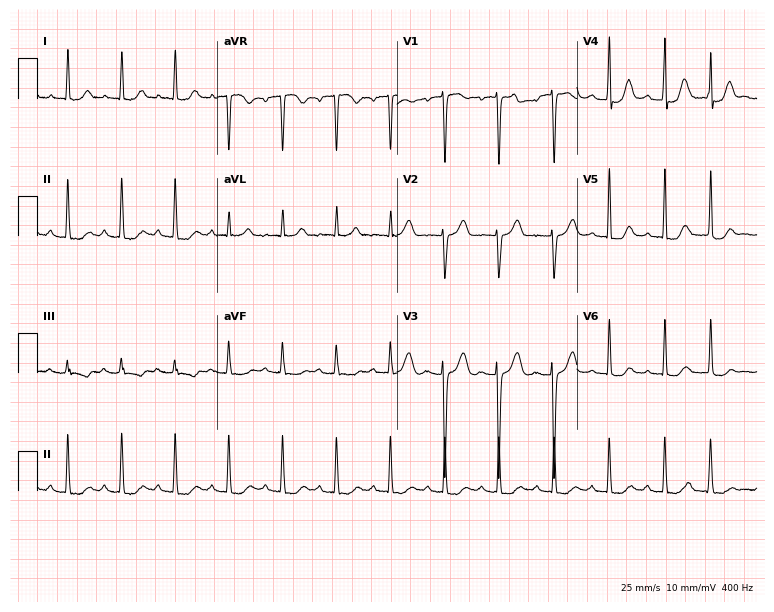
12-lead ECG from a female, 52 years old. Findings include sinus tachycardia (a sinus rate of 100 beats per minute or more).